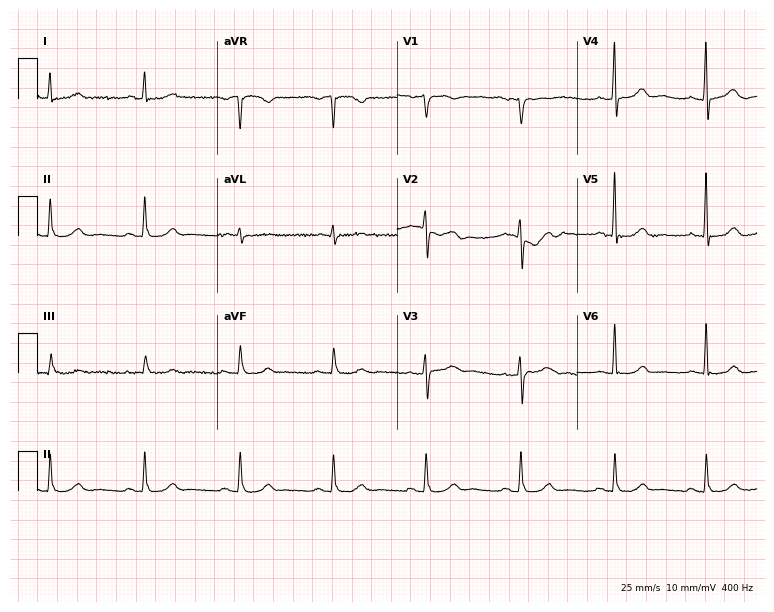
12-lead ECG from a 72-year-old female. No first-degree AV block, right bundle branch block, left bundle branch block, sinus bradycardia, atrial fibrillation or sinus tachycardia recorded for this tracing.